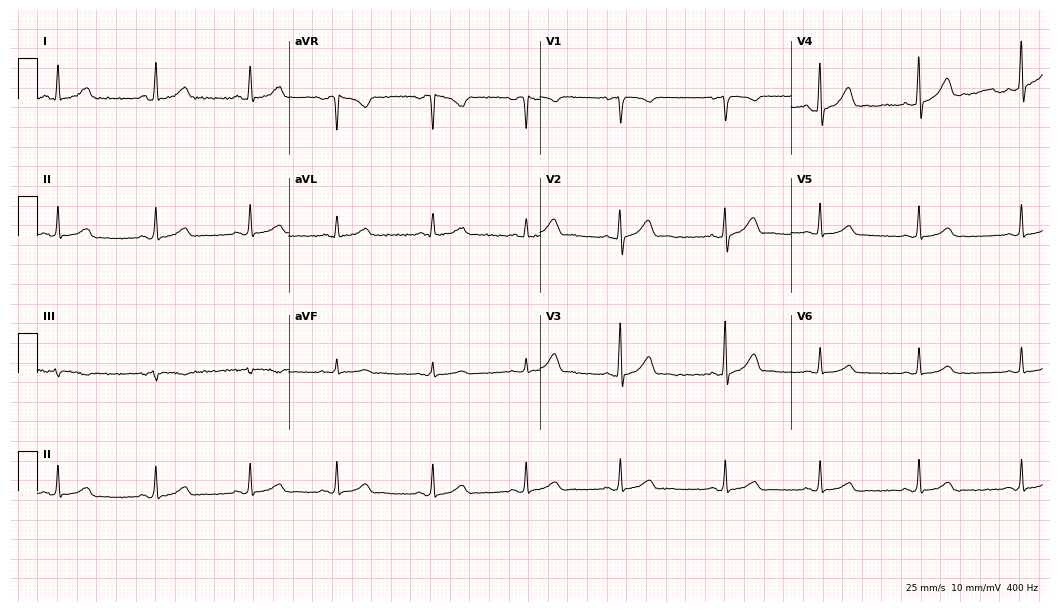
Electrocardiogram, a 25-year-old woman. Overall reading on record: normal ECG.